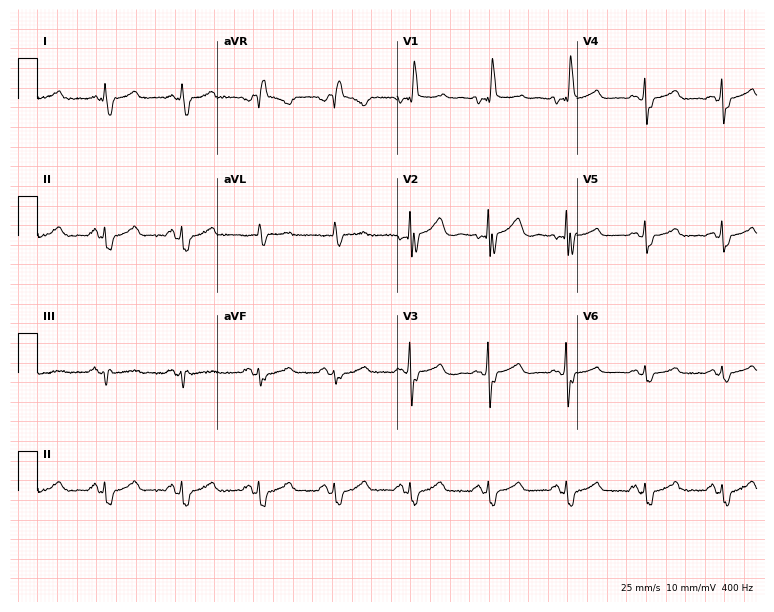
Resting 12-lead electrocardiogram (7.3-second recording at 400 Hz). Patient: a 69-year-old female. The tracing shows right bundle branch block.